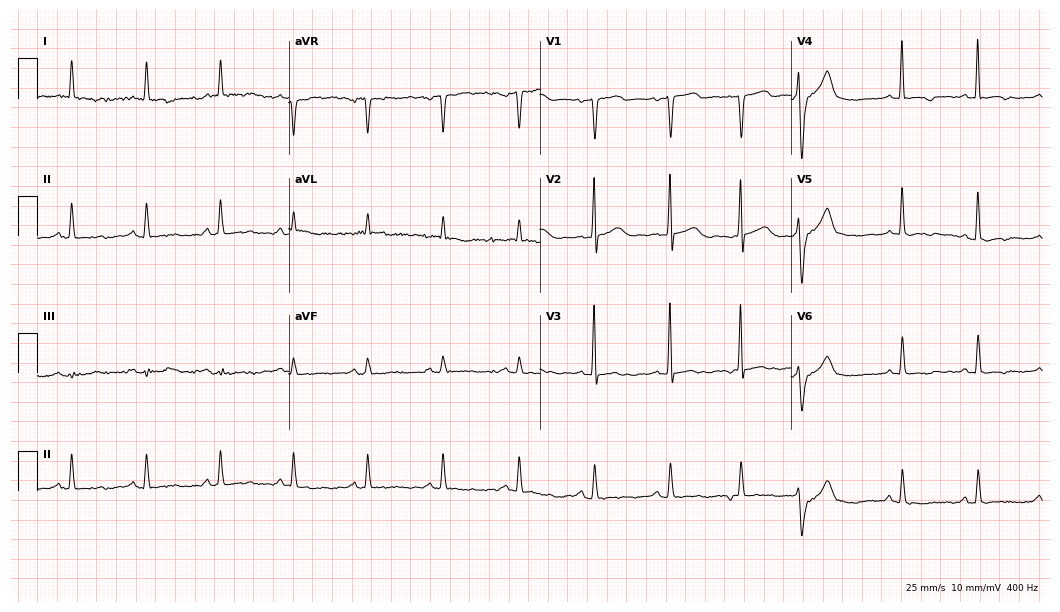
Standard 12-lead ECG recorded from a female patient, 83 years old. Read as a normal ECG.